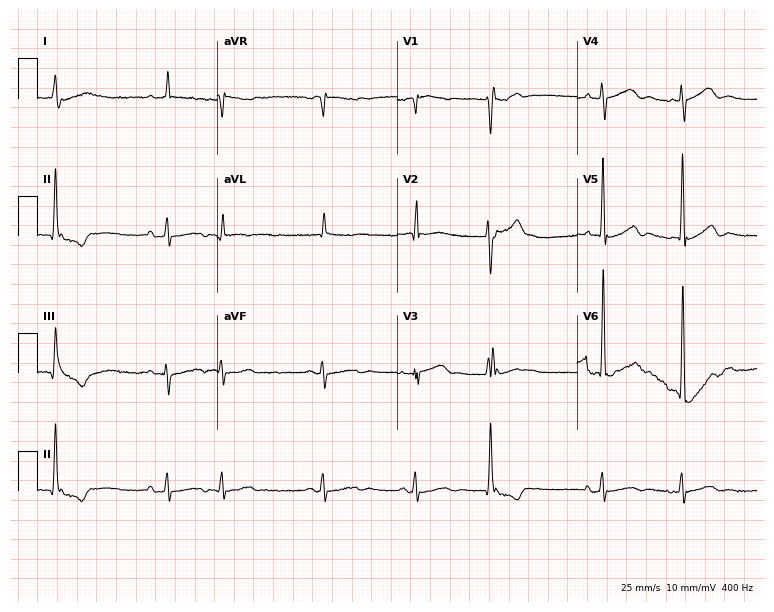
12-lead ECG from an 85-year-old man (7.3-second recording at 400 Hz). No first-degree AV block, right bundle branch block (RBBB), left bundle branch block (LBBB), sinus bradycardia, atrial fibrillation (AF) or sinus tachycardia recorded for this tracing. Other findings, if any, are not listed.